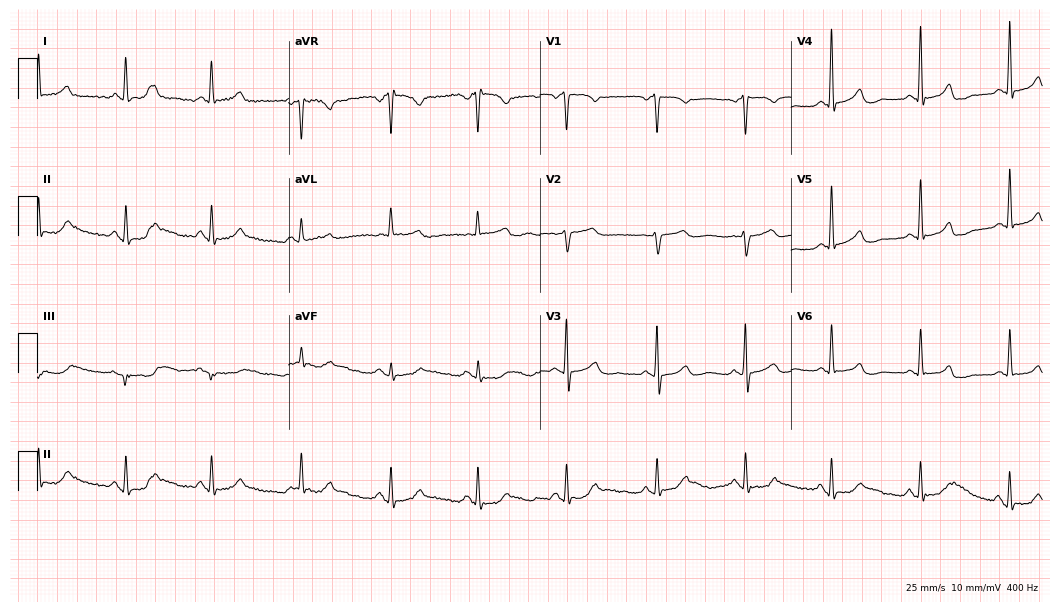
ECG (10.2-second recording at 400 Hz) — a female patient, 69 years old. Labelled as a normal ECG.